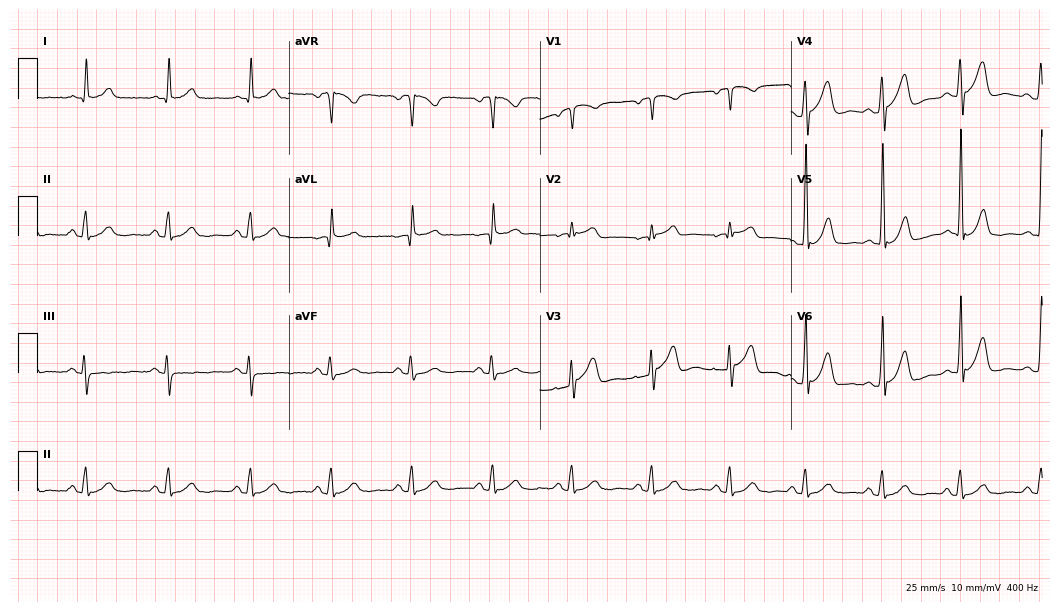
Resting 12-lead electrocardiogram. Patient: a man, 64 years old. None of these six findings is recorded: first-degree AV block, right bundle branch block (RBBB), left bundle branch block (LBBB), sinus bradycardia, atrial fibrillation (AF), sinus tachycardia. Only these six findings were labelled.